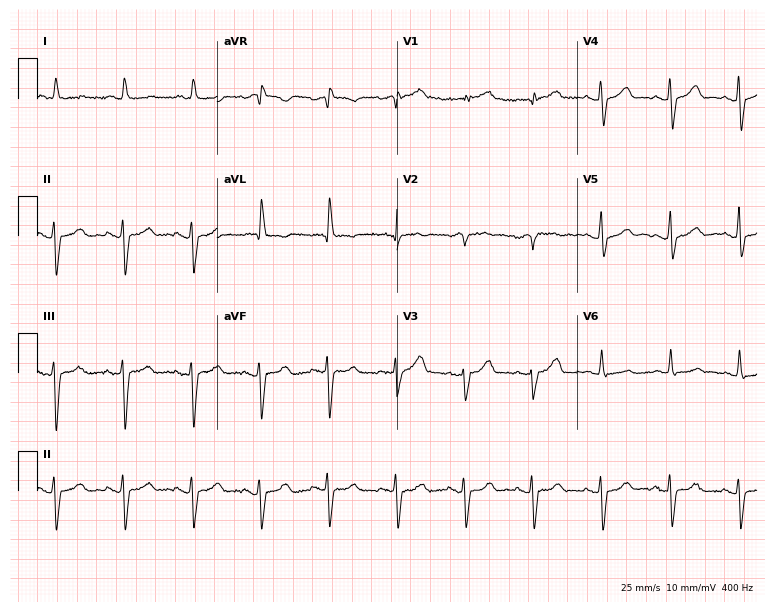
Resting 12-lead electrocardiogram. Patient: an 84-year-old male. None of these six findings is recorded: first-degree AV block, right bundle branch block, left bundle branch block, sinus bradycardia, atrial fibrillation, sinus tachycardia.